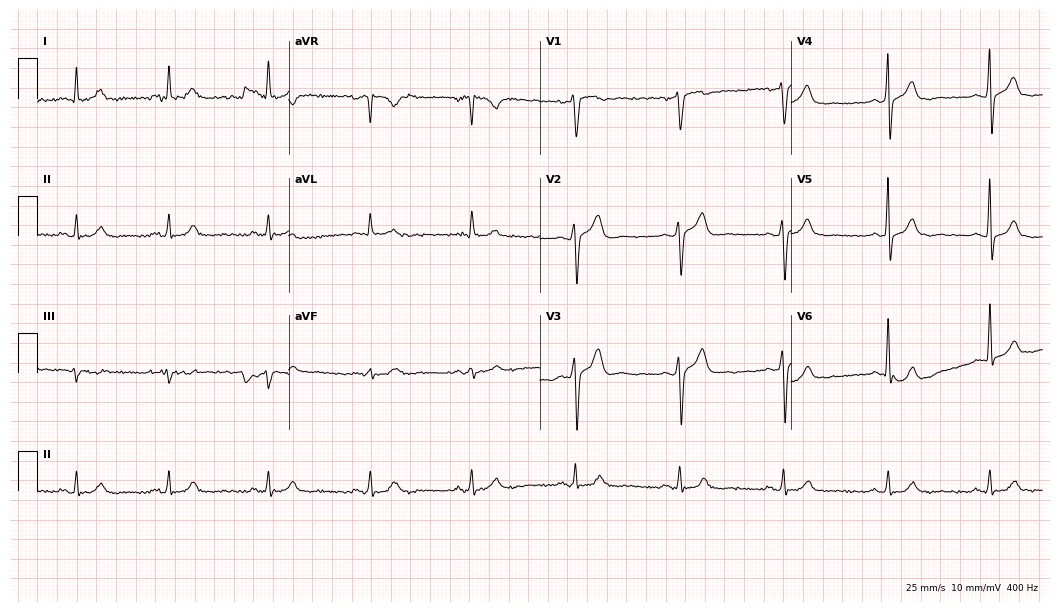
Electrocardiogram, a male, 50 years old. Overall reading on record: normal ECG.